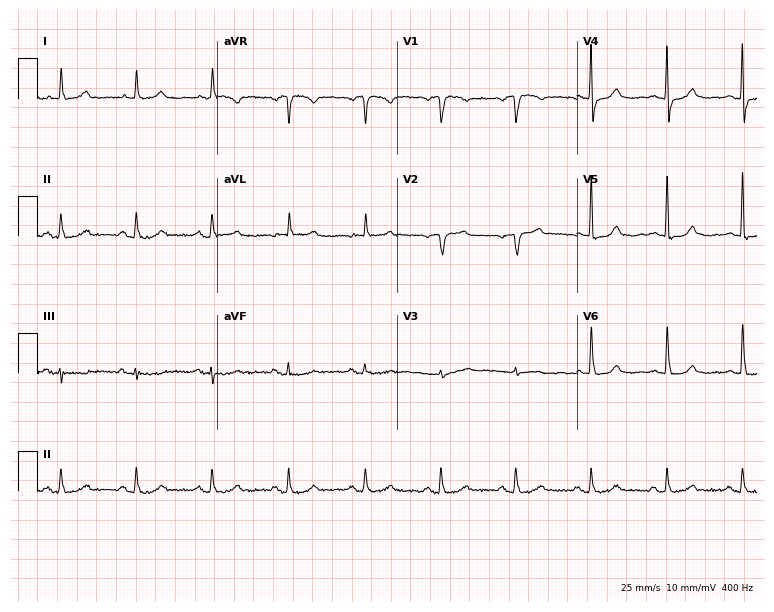
Electrocardiogram (7.3-second recording at 400 Hz), a female, 64 years old. Overall reading on record: normal ECG.